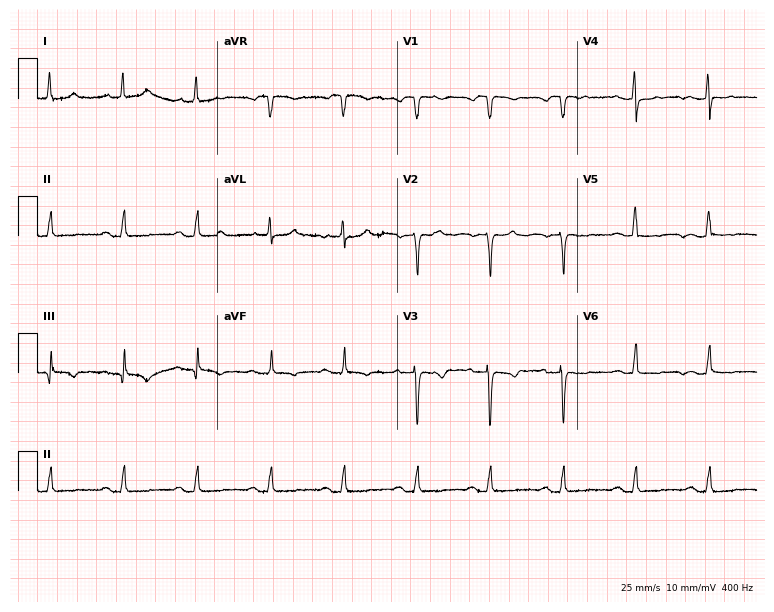
12-lead ECG from an 81-year-old woman. Screened for six findings — first-degree AV block, right bundle branch block, left bundle branch block, sinus bradycardia, atrial fibrillation, sinus tachycardia — none is recorded. Findings outside these six are not listed.